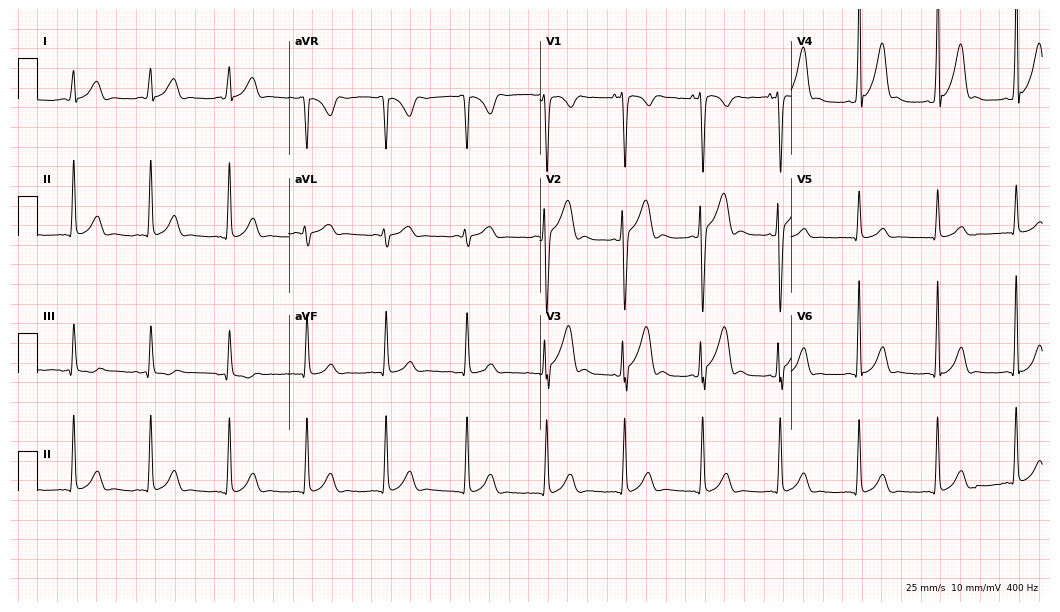
ECG (10.2-second recording at 400 Hz) — a 23-year-old man. Screened for six findings — first-degree AV block, right bundle branch block, left bundle branch block, sinus bradycardia, atrial fibrillation, sinus tachycardia — none is recorded.